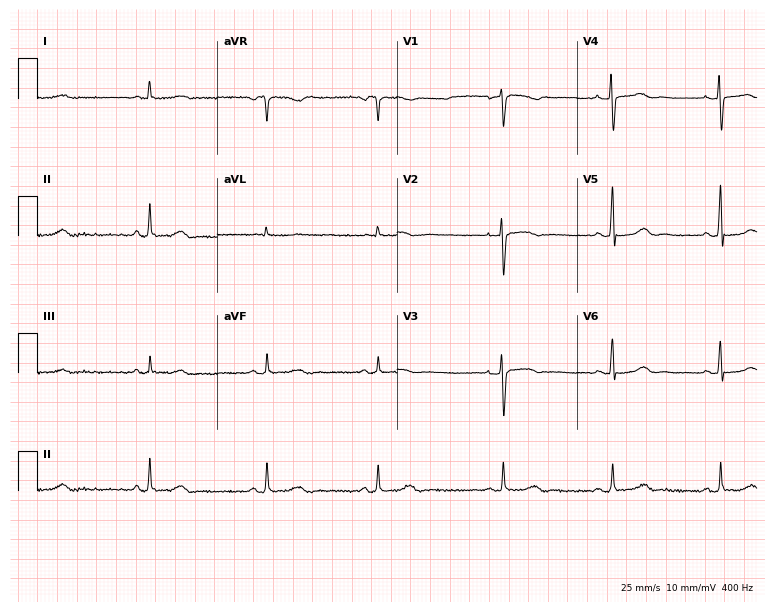
ECG — a female, 67 years old. Labelled as a normal ECG.